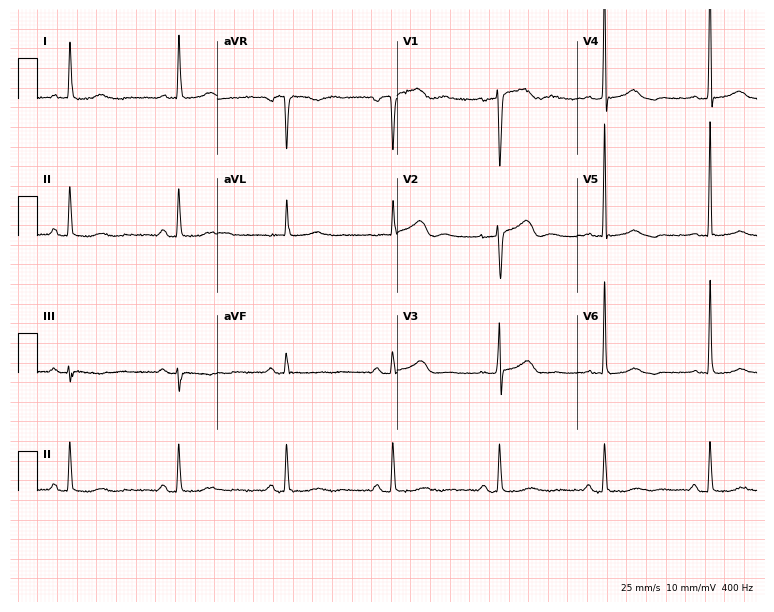
Electrocardiogram, a 46-year-old woman. Of the six screened findings (first-degree AV block, right bundle branch block (RBBB), left bundle branch block (LBBB), sinus bradycardia, atrial fibrillation (AF), sinus tachycardia), none is recorded.